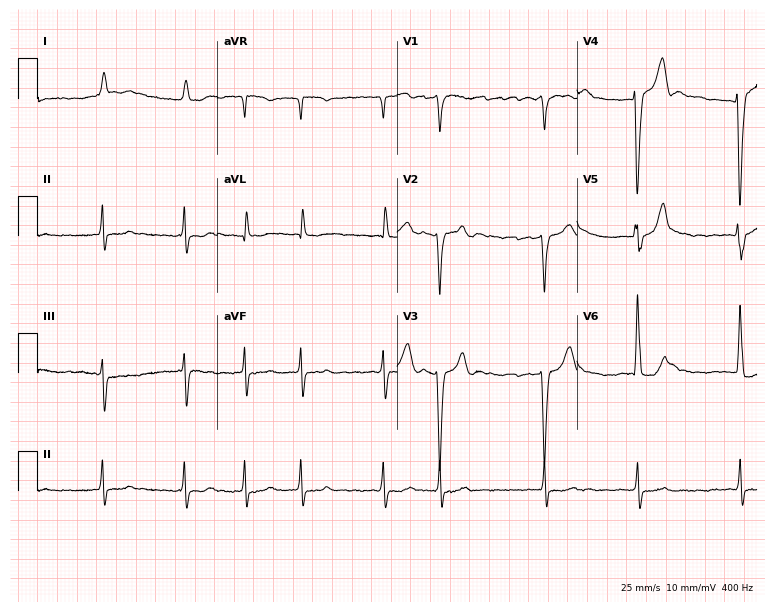
Electrocardiogram (7.3-second recording at 400 Hz), an 80-year-old man. Interpretation includes atrial fibrillation (AF).